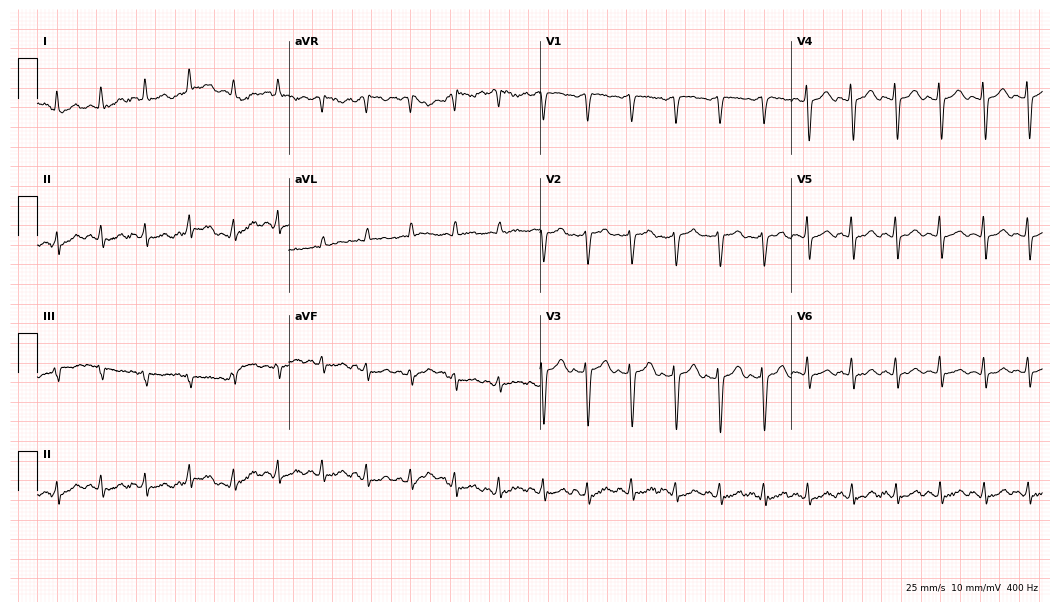
12-lead ECG from a 41-year-old female. Shows sinus tachycardia (a sinus rate of 100 beats per minute or more).